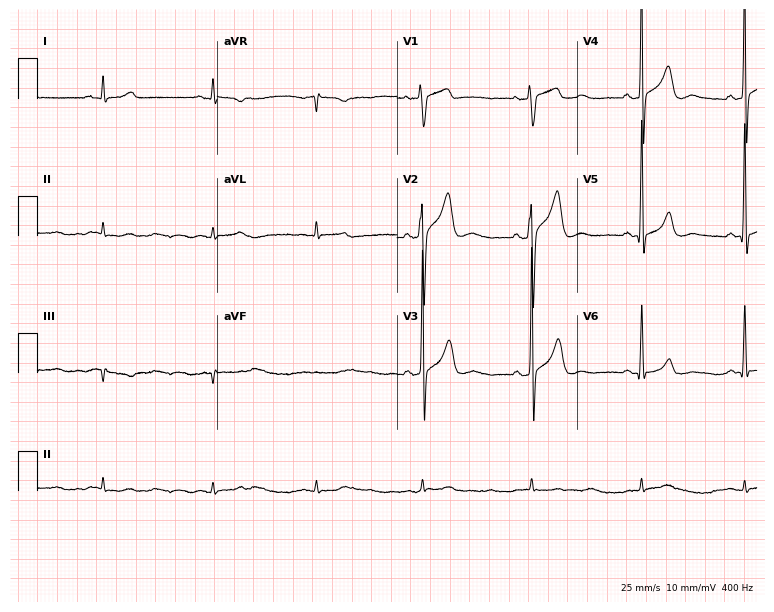
ECG — a male, 41 years old. Screened for six findings — first-degree AV block, right bundle branch block (RBBB), left bundle branch block (LBBB), sinus bradycardia, atrial fibrillation (AF), sinus tachycardia — none is recorded.